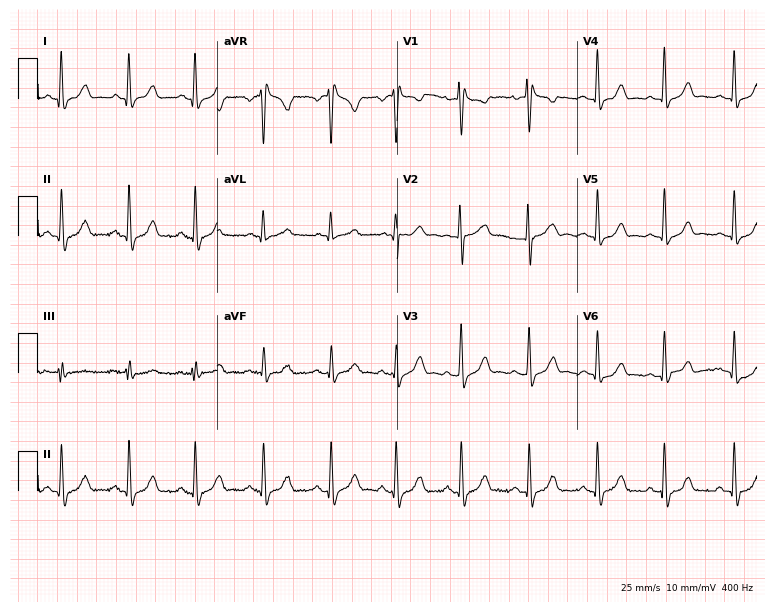
ECG (7.3-second recording at 400 Hz) — a 17-year-old female. Screened for six findings — first-degree AV block, right bundle branch block, left bundle branch block, sinus bradycardia, atrial fibrillation, sinus tachycardia — none is recorded. Only these six findings were labelled.